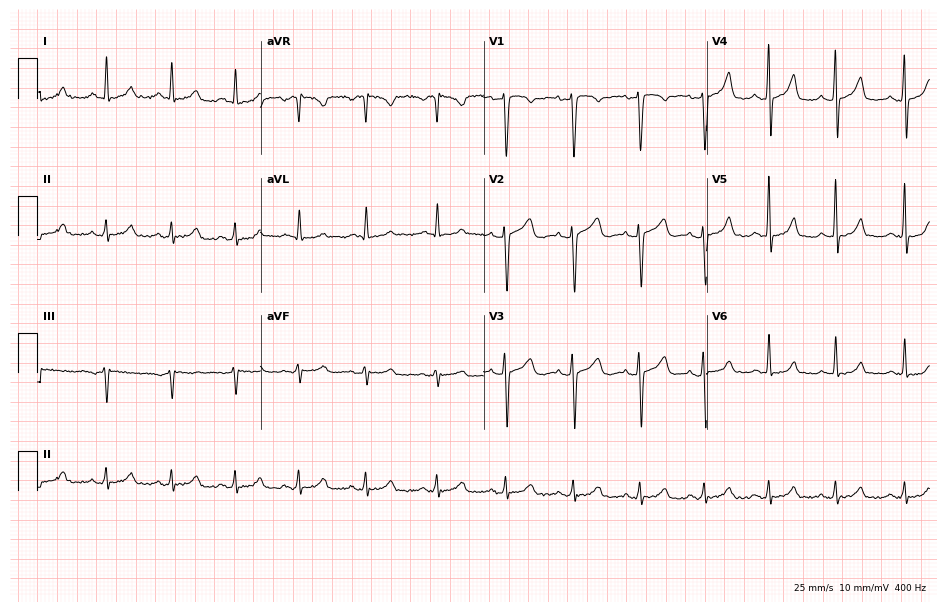
12-lead ECG from a 35-year-old female. No first-degree AV block, right bundle branch block (RBBB), left bundle branch block (LBBB), sinus bradycardia, atrial fibrillation (AF) or sinus tachycardia recorded for this tracing.